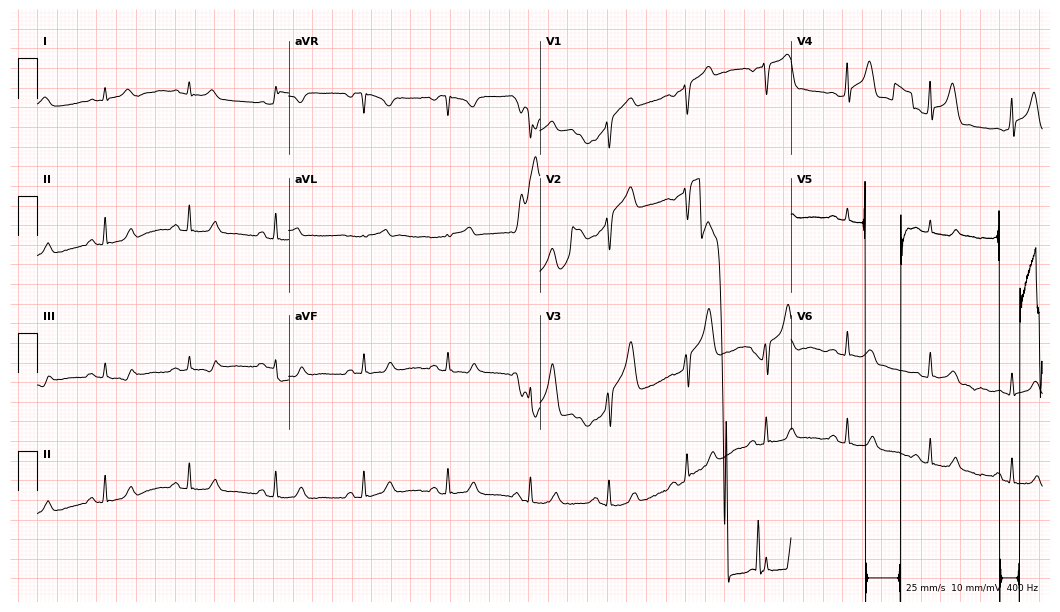
12-lead ECG (10.2-second recording at 400 Hz) from a male, 49 years old. Screened for six findings — first-degree AV block, right bundle branch block, left bundle branch block, sinus bradycardia, atrial fibrillation, sinus tachycardia — none is recorded. Only these six findings were labelled.